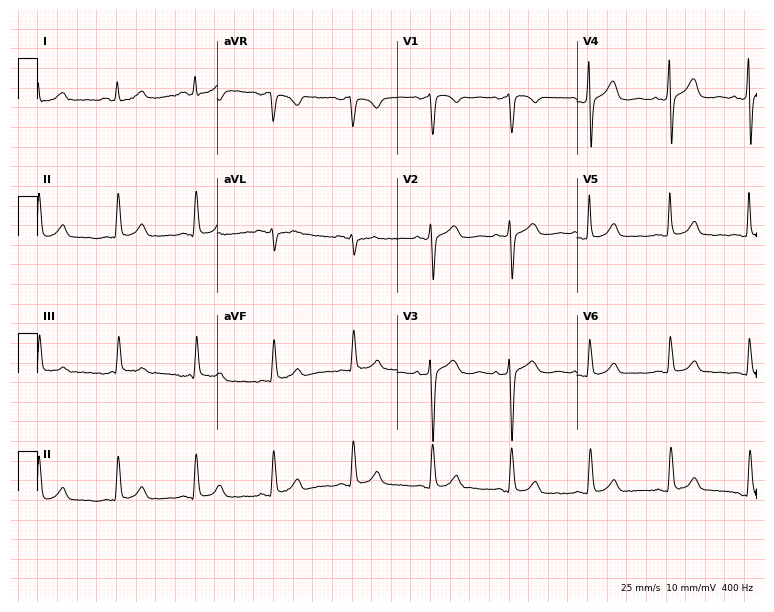
12-lead ECG from a 62-year-old female patient. Screened for six findings — first-degree AV block, right bundle branch block, left bundle branch block, sinus bradycardia, atrial fibrillation, sinus tachycardia — none is recorded.